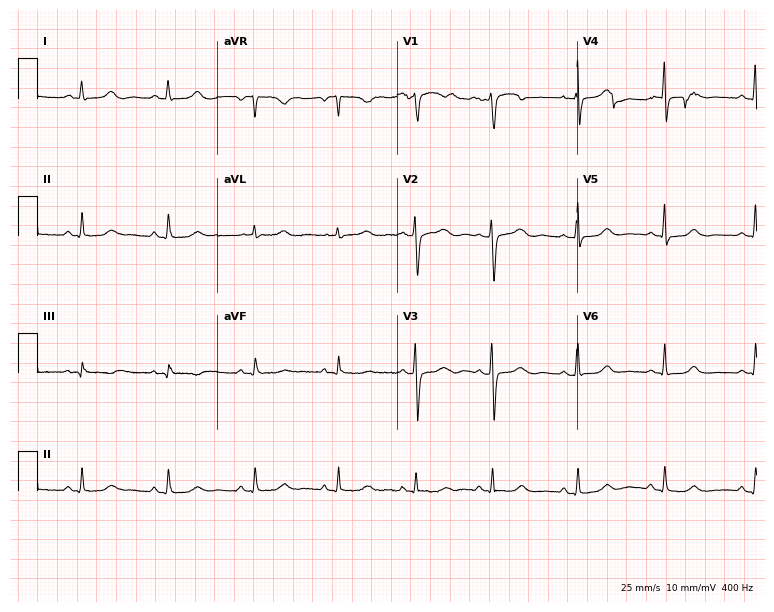
Electrocardiogram, a female, 43 years old. Overall reading on record: normal ECG.